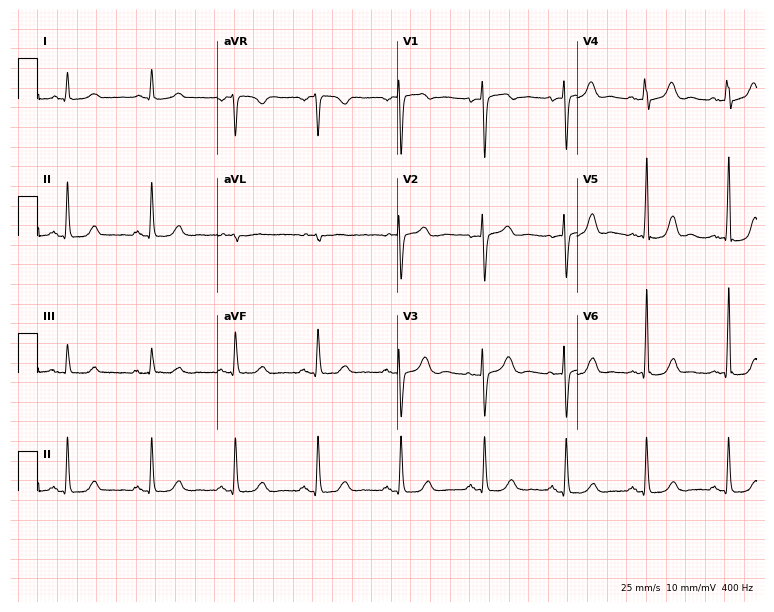
12-lead ECG from a 55-year-old female patient. Labelled as a normal ECG.